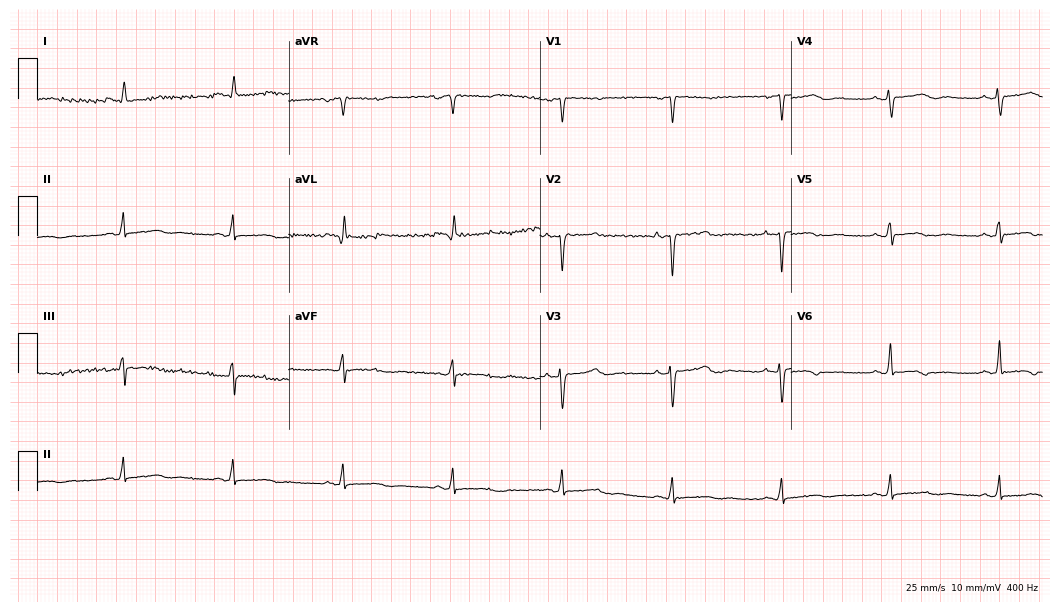
ECG — a female patient, 49 years old. Screened for six findings — first-degree AV block, right bundle branch block, left bundle branch block, sinus bradycardia, atrial fibrillation, sinus tachycardia — none is recorded.